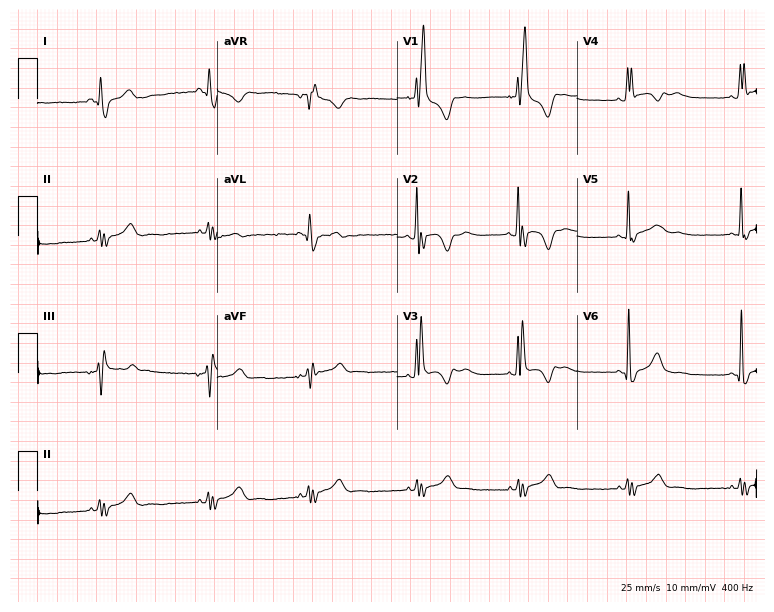
ECG (7.3-second recording at 400 Hz) — a male, 24 years old. Findings include right bundle branch block.